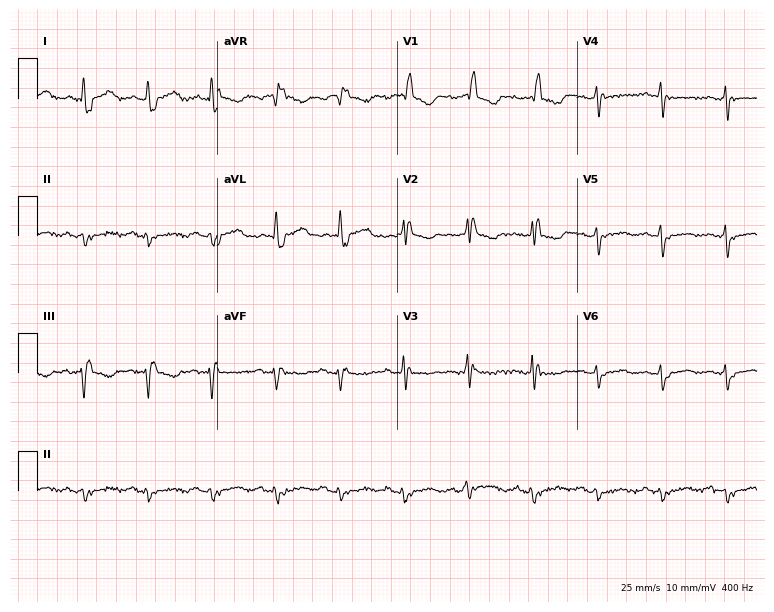
Resting 12-lead electrocardiogram (7.3-second recording at 400 Hz). Patient: a 79-year-old female. None of these six findings is recorded: first-degree AV block, right bundle branch block (RBBB), left bundle branch block (LBBB), sinus bradycardia, atrial fibrillation (AF), sinus tachycardia. Findings outside these six are not listed.